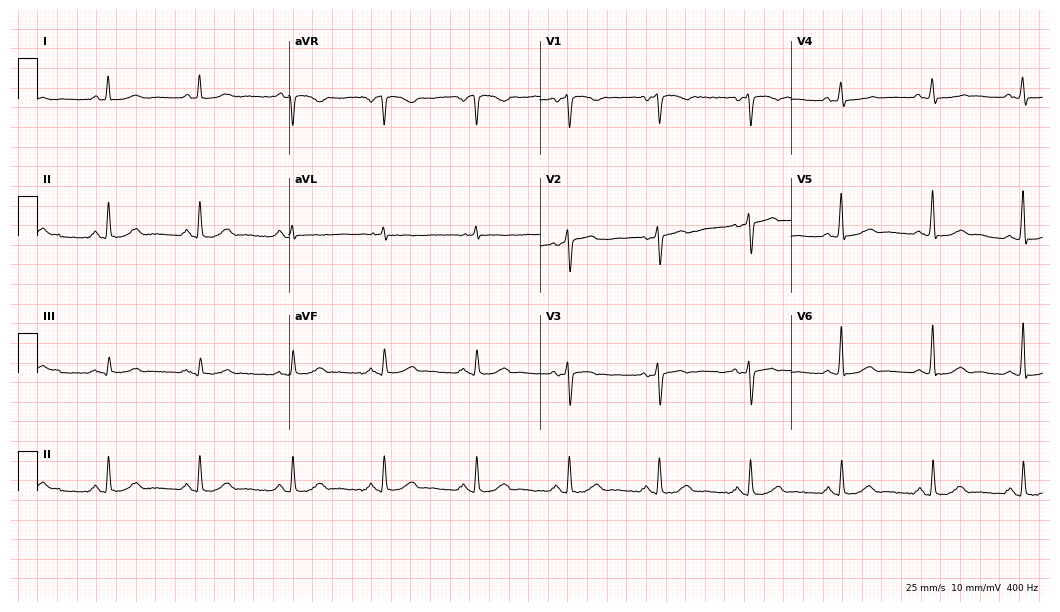
Electrocardiogram (10.2-second recording at 400 Hz), a female patient, 53 years old. Overall reading on record: normal ECG.